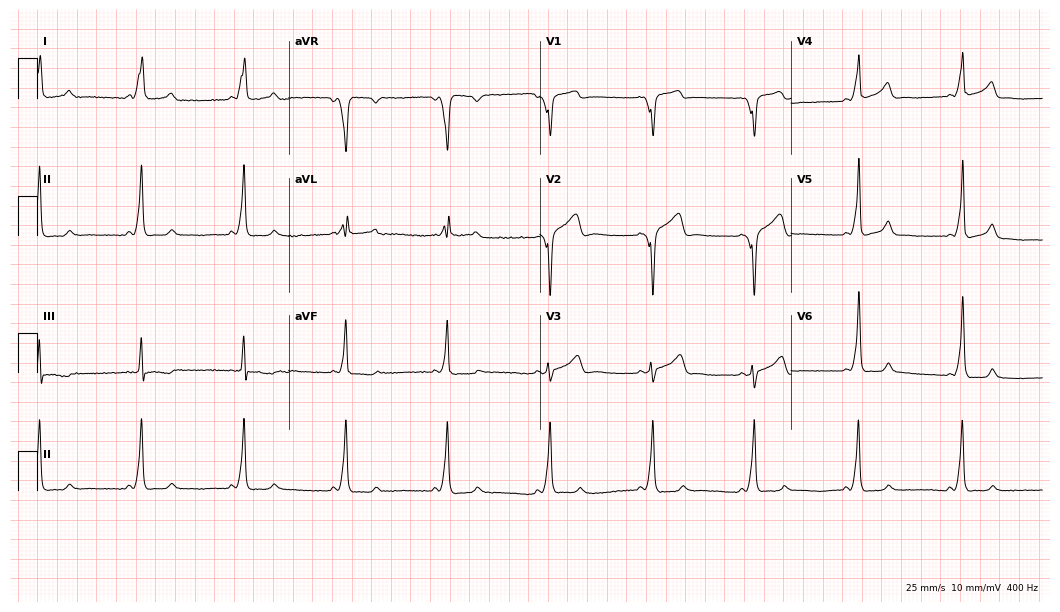
Electrocardiogram, a woman, 45 years old. Of the six screened findings (first-degree AV block, right bundle branch block, left bundle branch block, sinus bradycardia, atrial fibrillation, sinus tachycardia), none is recorded.